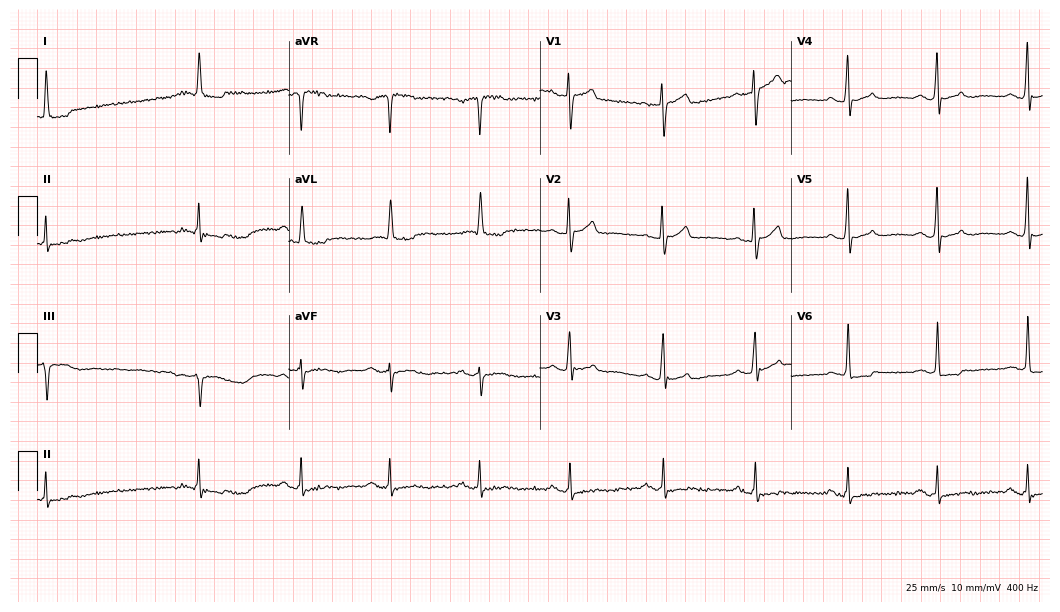
12-lead ECG from a woman, 78 years old (10.2-second recording at 400 Hz). No first-degree AV block, right bundle branch block, left bundle branch block, sinus bradycardia, atrial fibrillation or sinus tachycardia recorded for this tracing.